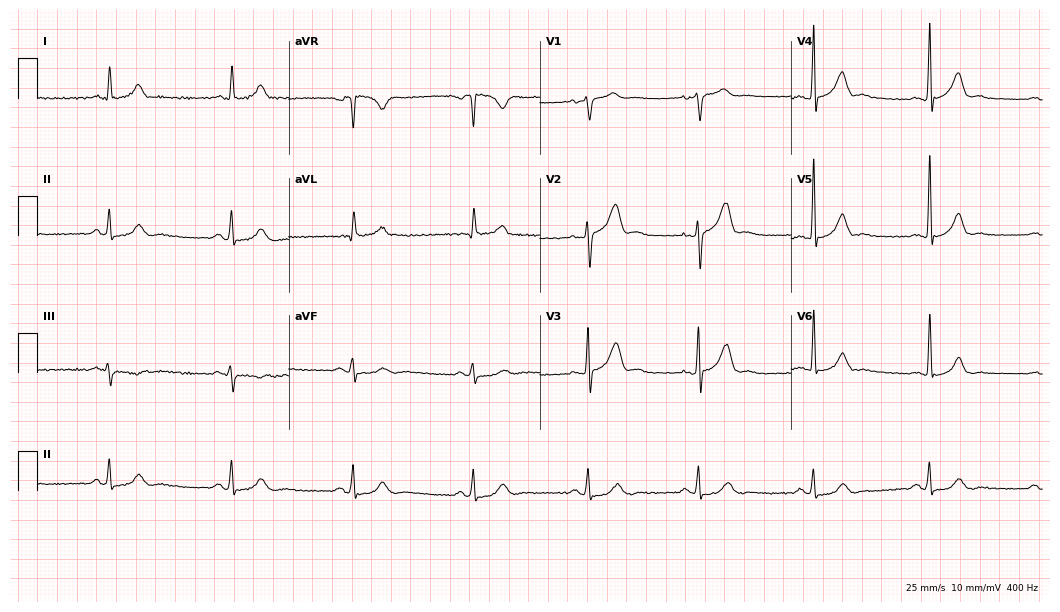
12-lead ECG from a man, 51 years old (10.2-second recording at 400 Hz). Shows sinus bradycardia (a sinus rate of 50 beats per minute or less).